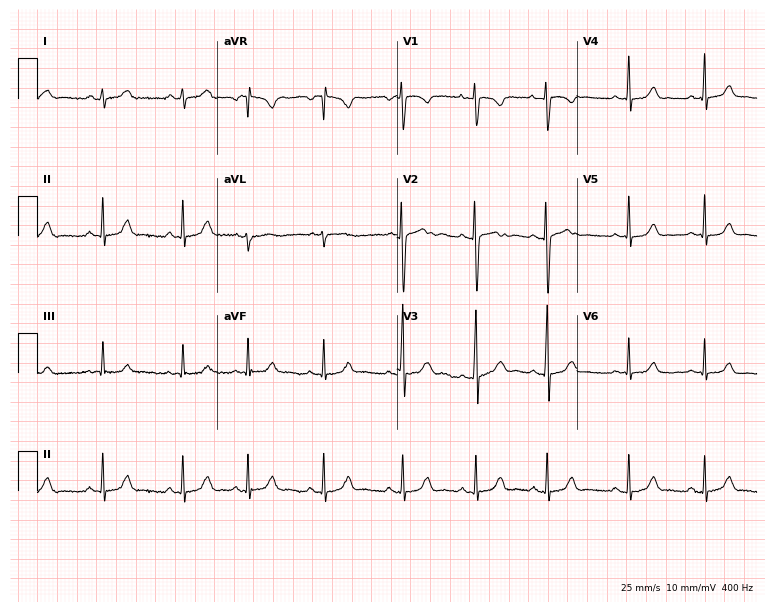
ECG (7.3-second recording at 400 Hz) — a female patient, 18 years old. Labelled as a normal ECG.